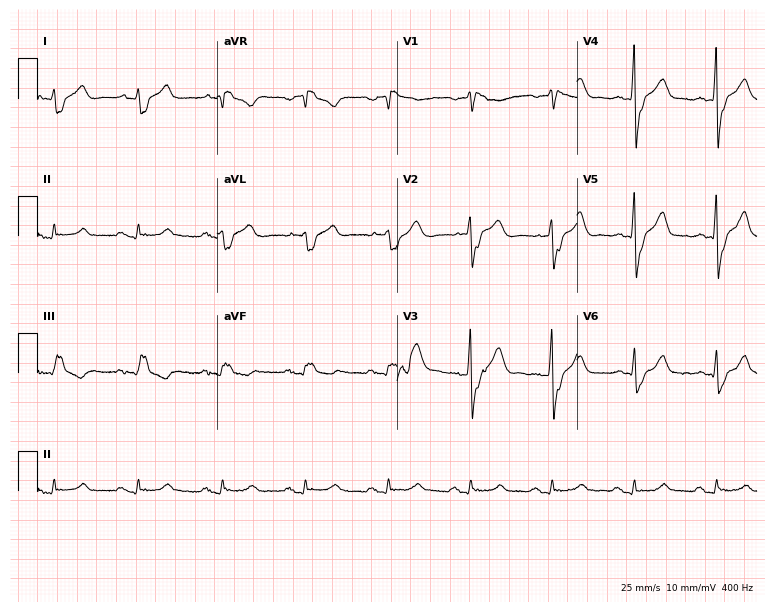
Electrocardiogram (7.3-second recording at 400 Hz), a 62-year-old man. Interpretation includes right bundle branch block (RBBB).